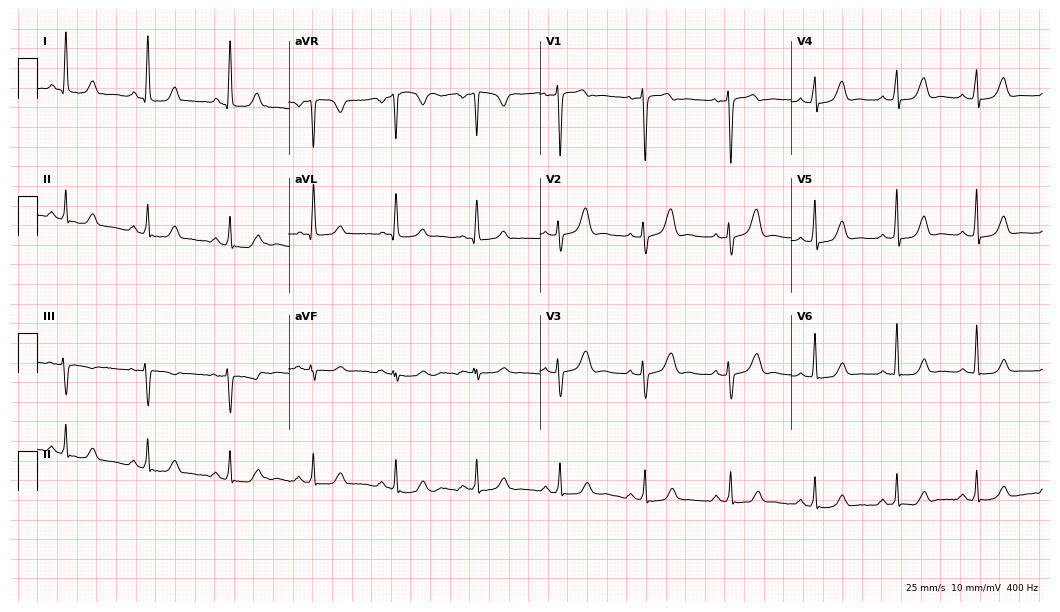
Standard 12-lead ECG recorded from a woman, 49 years old. None of these six findings is recorded: first-degree AV block, right bundle branch block, left bundle branch block, sinus bradycardia, atrial fibrillation, sinus tachycardia.